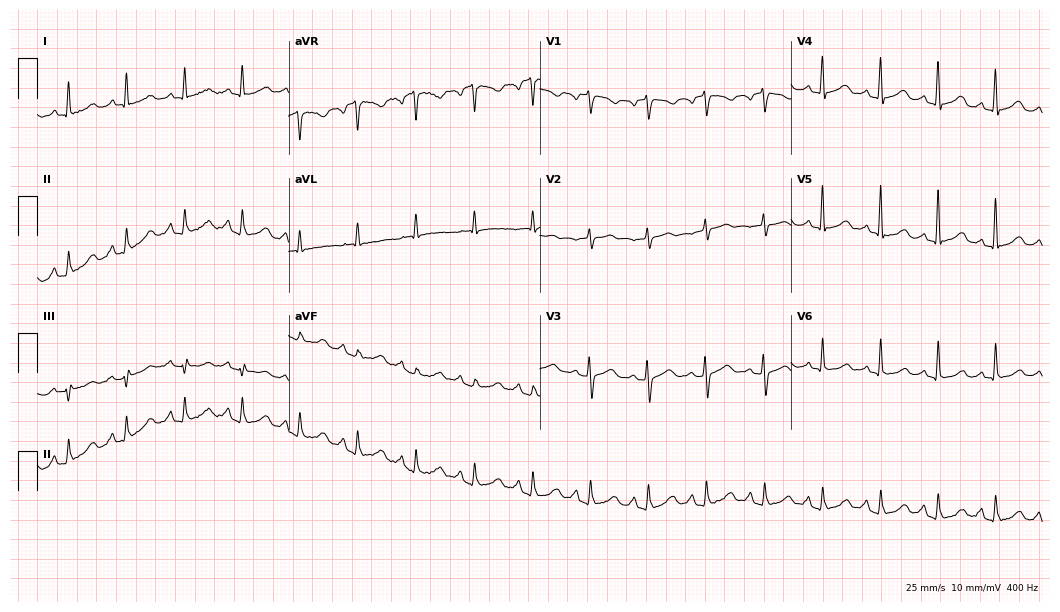
12-lead ECG from a 62-year-old woman. No first-degree AV block, right bundle branch block, left bundle branch block, sinus bradycardia, atrial fibrillation or sinus tachycardia recorded for this tracing.